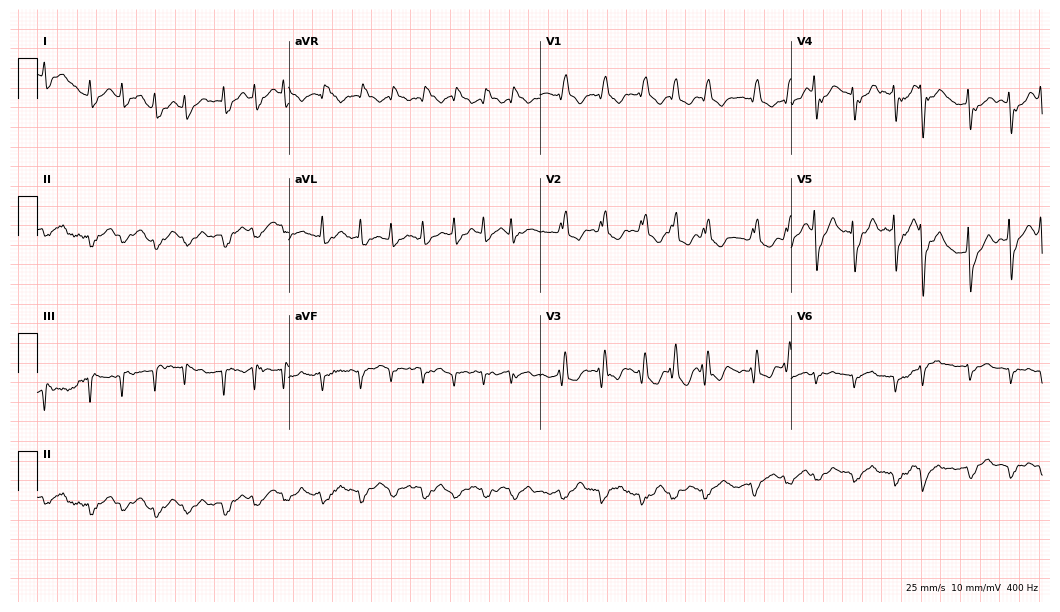
12-lead ECG (10.2-second recording at 400 Hz) from an 80-year-old man. Findings include right bundle branch block, atrial fibrillation.